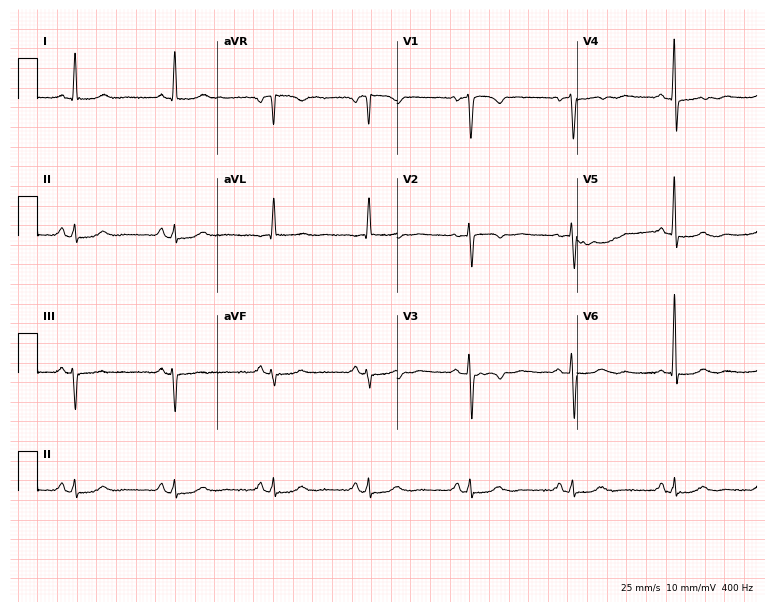
Standard 12-lead ECG recorded from a female, 70 years old. None of these six findings is recorded: first-degree AV block, right bundle branch block, left bundle branch block, sinus bradycardia, atrial fibrillation, sinus tachycardia. Findings outside these six are not listed.